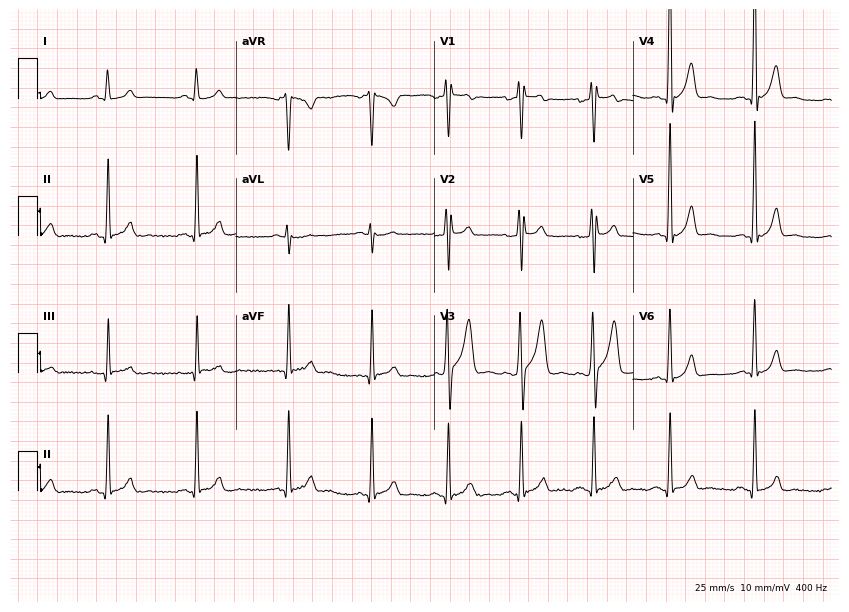
12-lead ECG from a 21-year-old male patient (8.1-second recording at 400 Hz). No first-degree AV block, right bundle branch block (RBBB), left bundle branch block (LBBB), sinus bradycardia, atrial fibrillation (AF) or sinus tachycardia recorded for this tracing. Only these six findings were labelled.